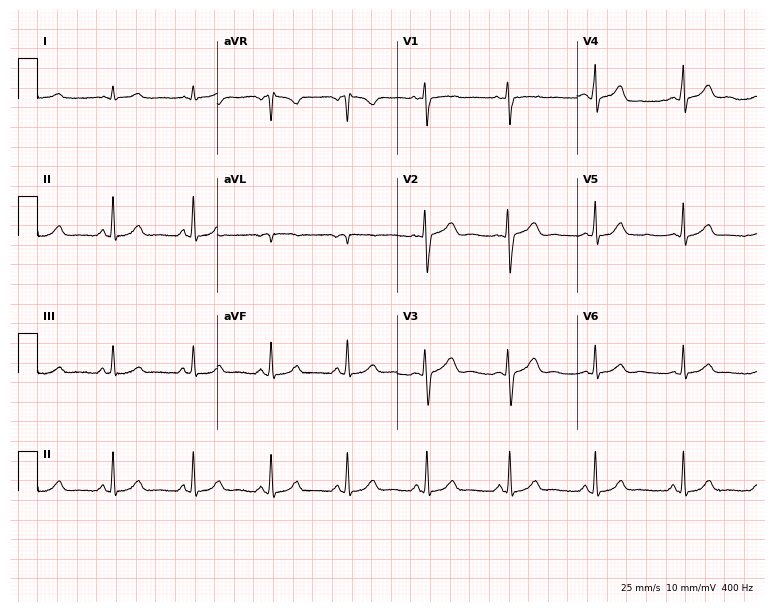
Electrocardiogram, a female, 29 years old. Overall reading on record: normal ECG.